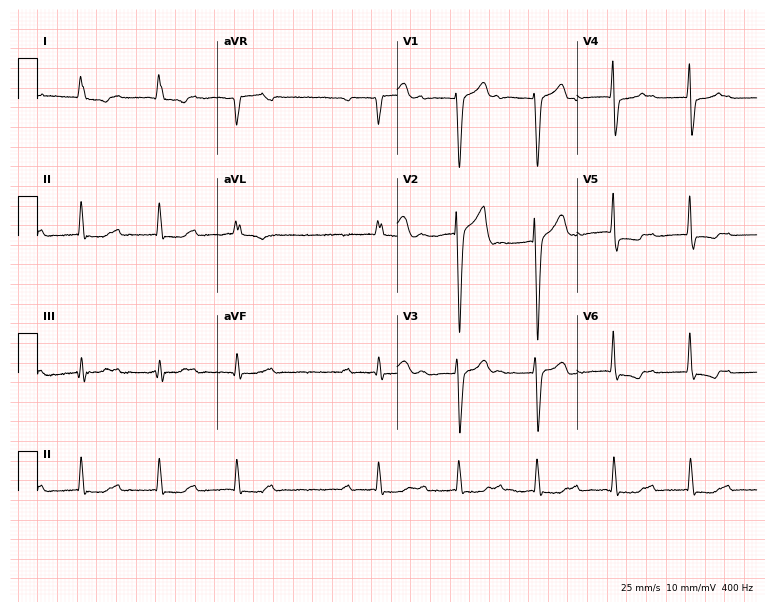
ECG (7.3-second recording at 400 Hz) — a male, 72 years old. Findings include first-degree AV block.